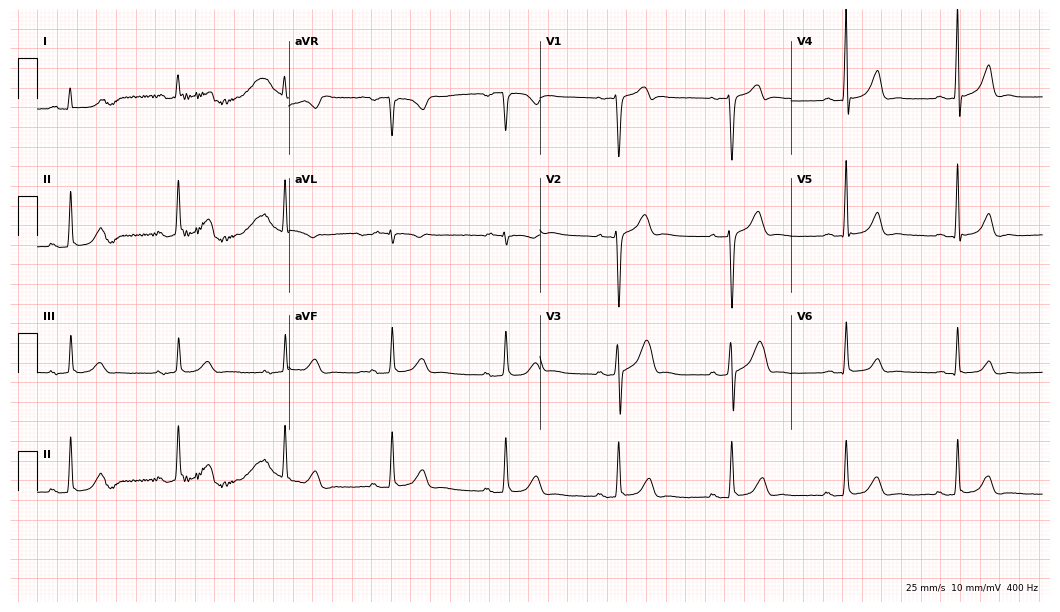
Standard 12-lead ECG recorded from a man, 38 years old. None of these six findings is recorded: first-degree AV block, right bundle branch block, left bundle branch block, sinus bradycardia, atrial fibrillation, sinus tachycardia. Other findings, if any, are not listed.